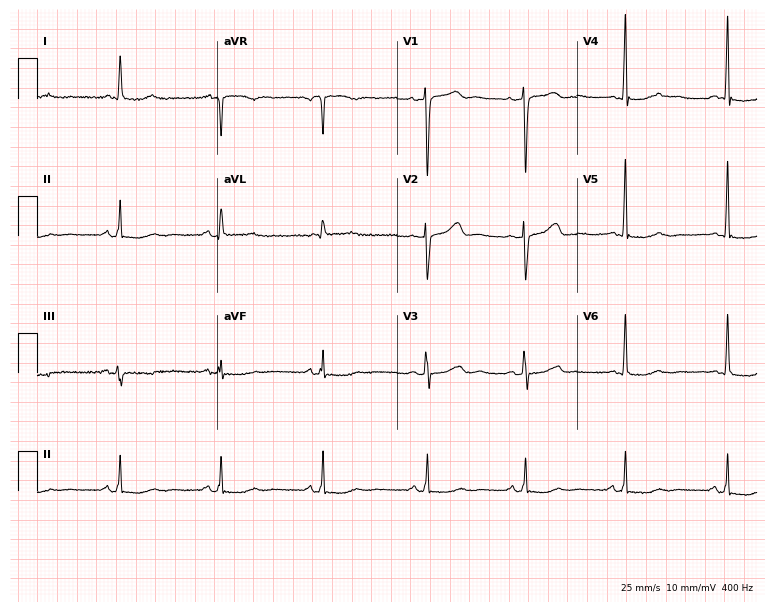
Resting 12-lead electrocardiogram. Patient: a female, 65 years old. None of these six findings is recorded: first-degree AV block, right bundle branch block, left bundle branch block, sinus bradycardia, atrial fibrillation, sinus tachycardia.